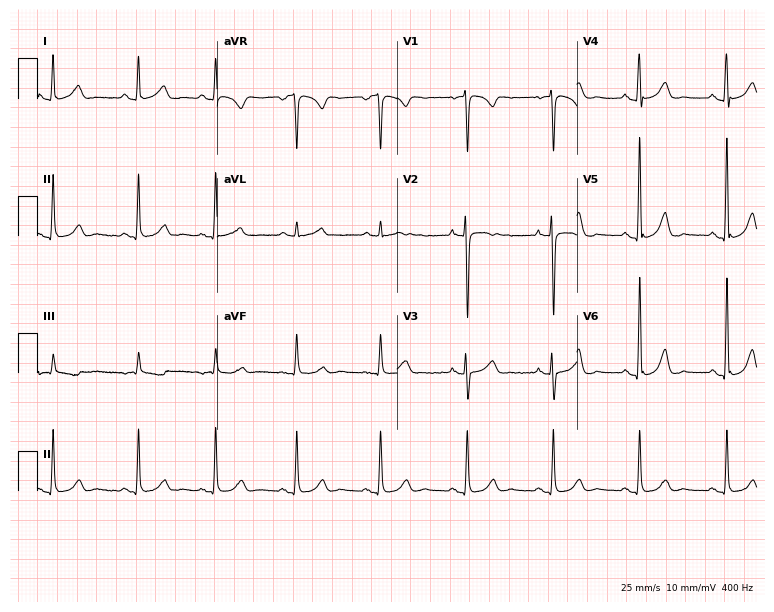
ECG — a woman, 31 years old. Labelled as a normal ECG.